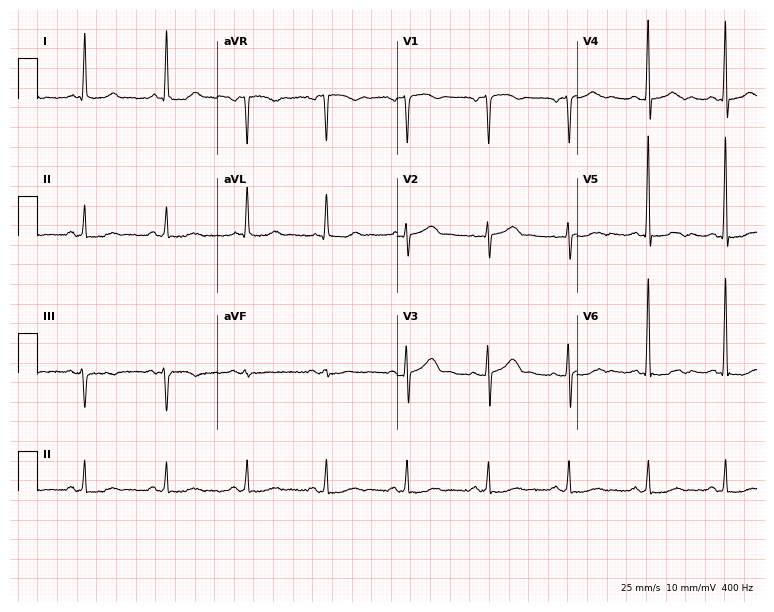
12-lead ECG from a male, 63 years old. No first-degree AV block, right bundle branch block, left bundle branch block, sinus bradycardia, atrial fibrillation or sinus tachycardia recorded for this tracing.